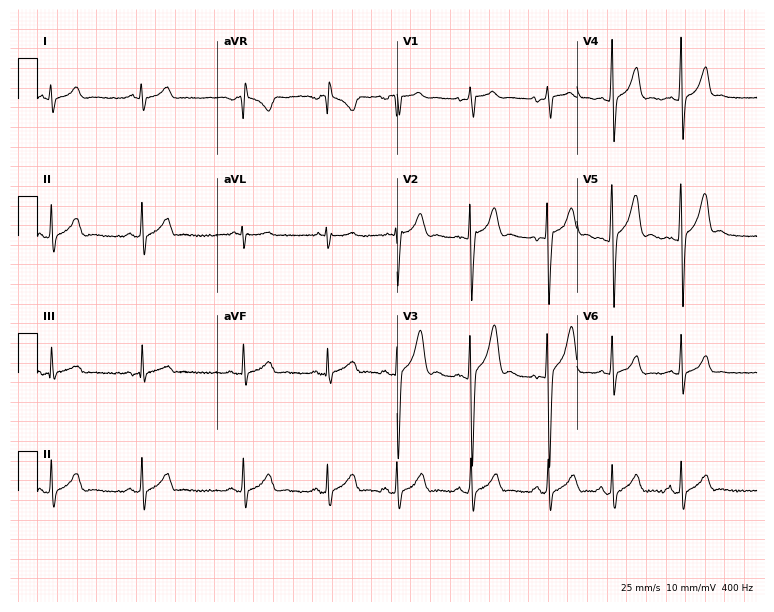
12-lead ECG (7.3-second recording at 400 Hz) from an 18-year-old man. Screened for six findings — first-degree AV block, right bundle branch block (RBBB), left bundle branch block (LBBB), sinus bradycardia, atrial fibrillation (AF), sinus tachycardia — none is recorded.